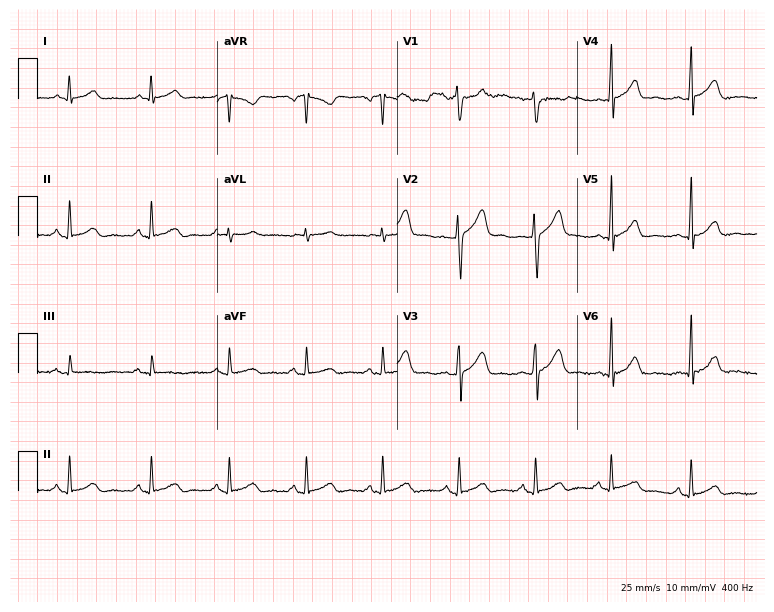
Resting 12-lead electrocardiogram. Patient: a male, 31 years old. Read as a normal ECG.